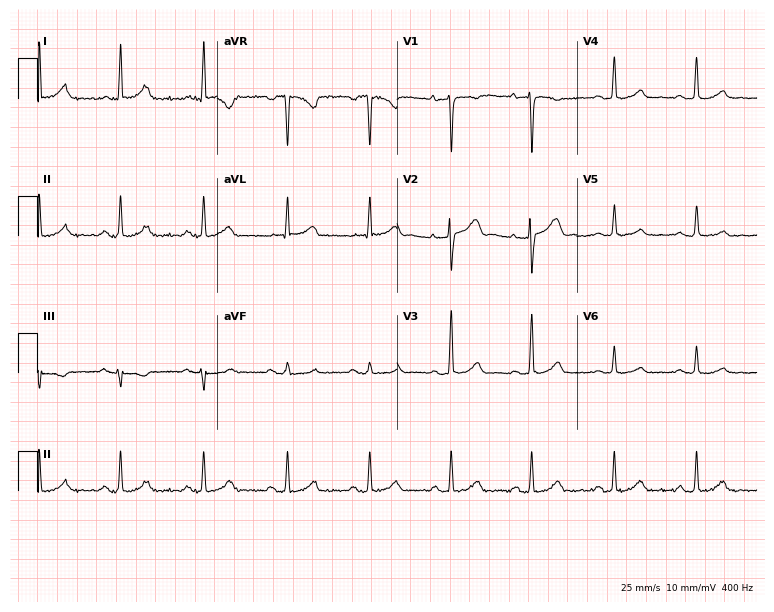
Standard 12-lead ECG recorded from a female, 53 years old (7.3-second recording at 400 Hz). Read as a normal ECG.